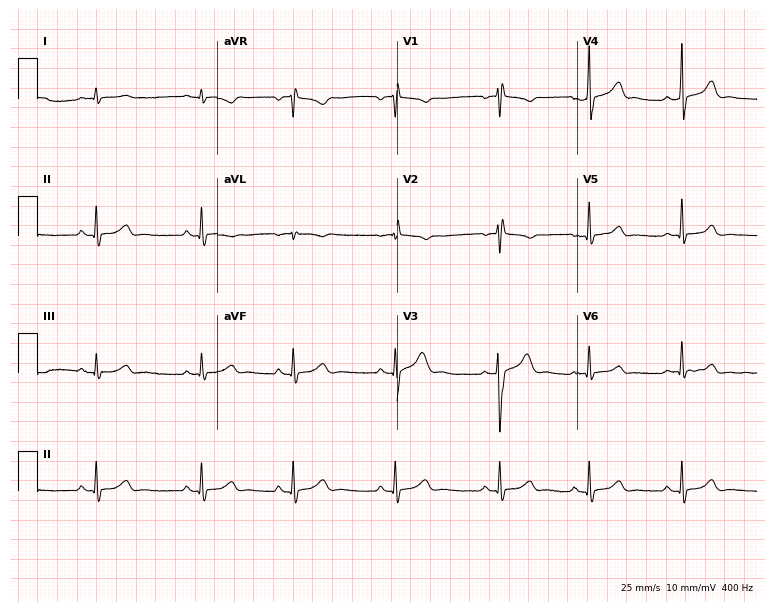
12-lead ECG from a female, 31 years old (7.3-second recording at 400 Hz). No first-degree AV block, right bundle branch block, left bundle branch block, sinus bradycardia, atrial fibrillation or sinus tachycardia recorded for this tracing.